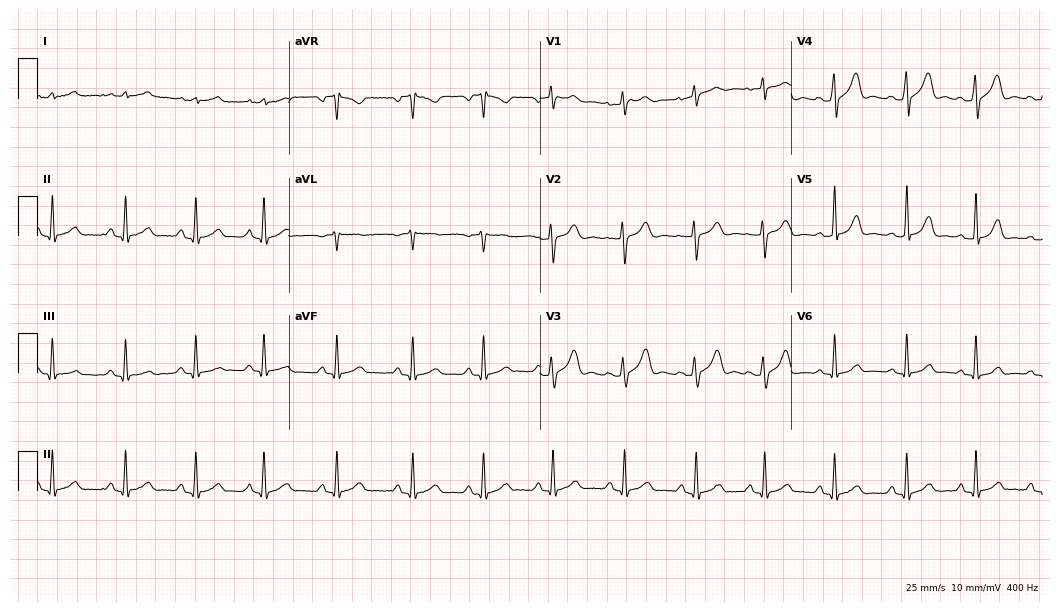
12-lead ECG from a woman, 24 years old (10.2-second recording at 400 Hz). Recorded interpretation: within normal limits.